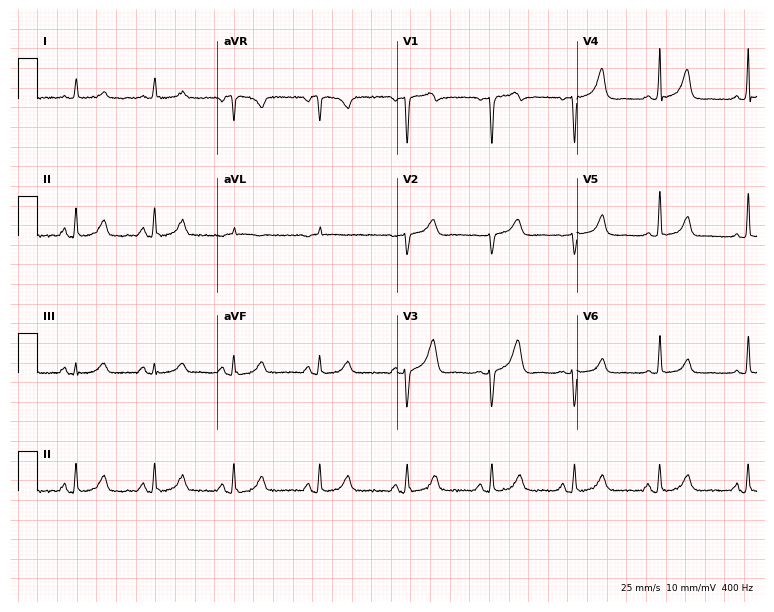
Electrocardiogram, a 51-year-old female patient. Of the six screened findings (first-degree AV block, right bundle branch block, left bundle branch block, sinus bradycardia, atrial fibrillation, sinus tachycardia), none is recorded.